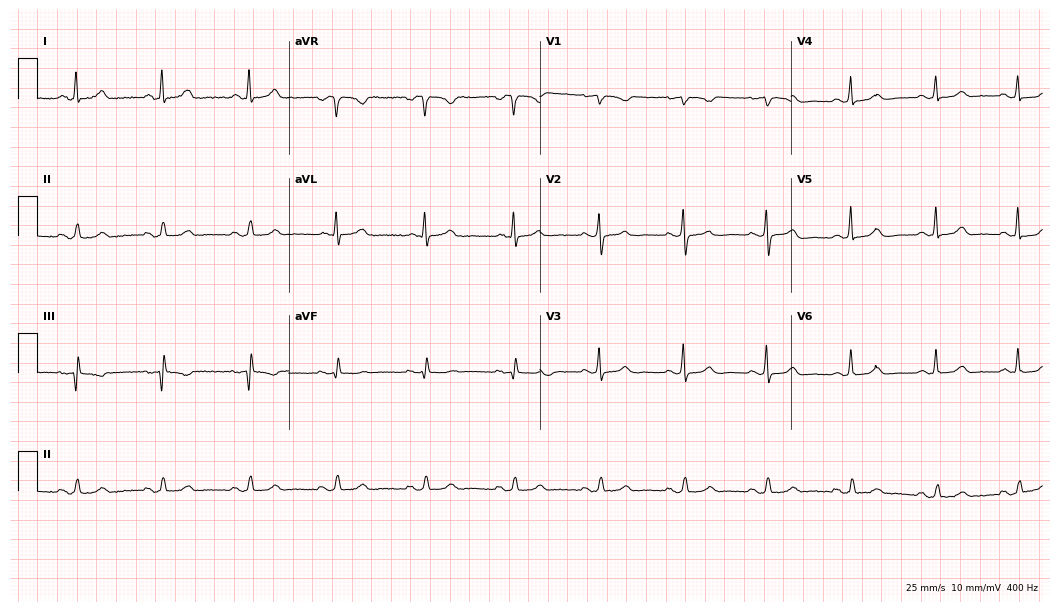
Electrocardiogram, a woman, 61 years old. Overall reading on record: normal ECG.